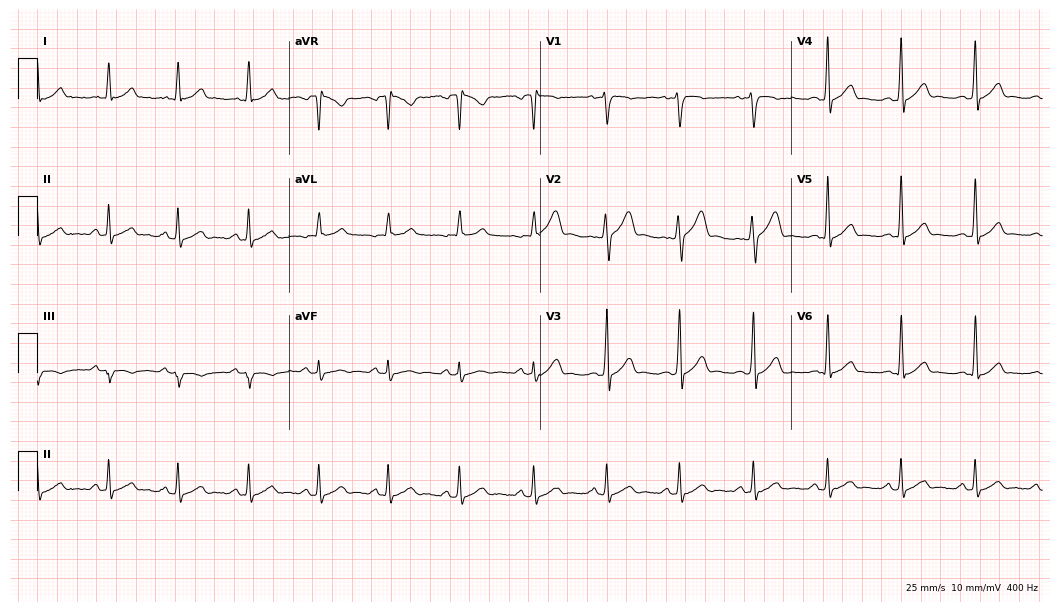
Standard 12-lead ECG recorded from a male, 38 years old. Read as a normal ECG.